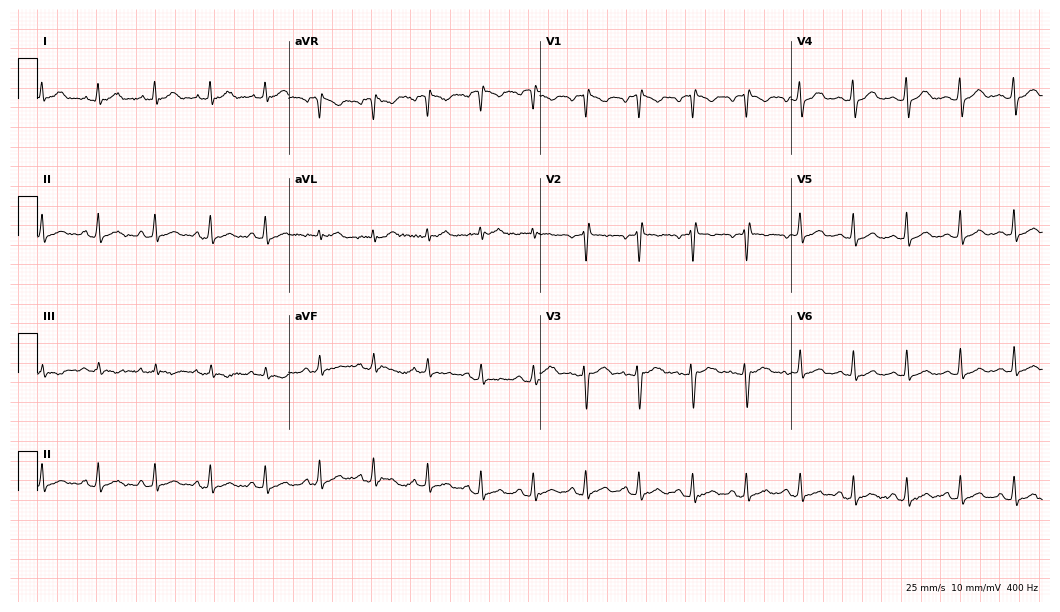
Standard 12-lead ECG recorded from a woman, 24 years old. The tracing shows sinus tachycardia (a sinus rate of 100 beats per minute or more).